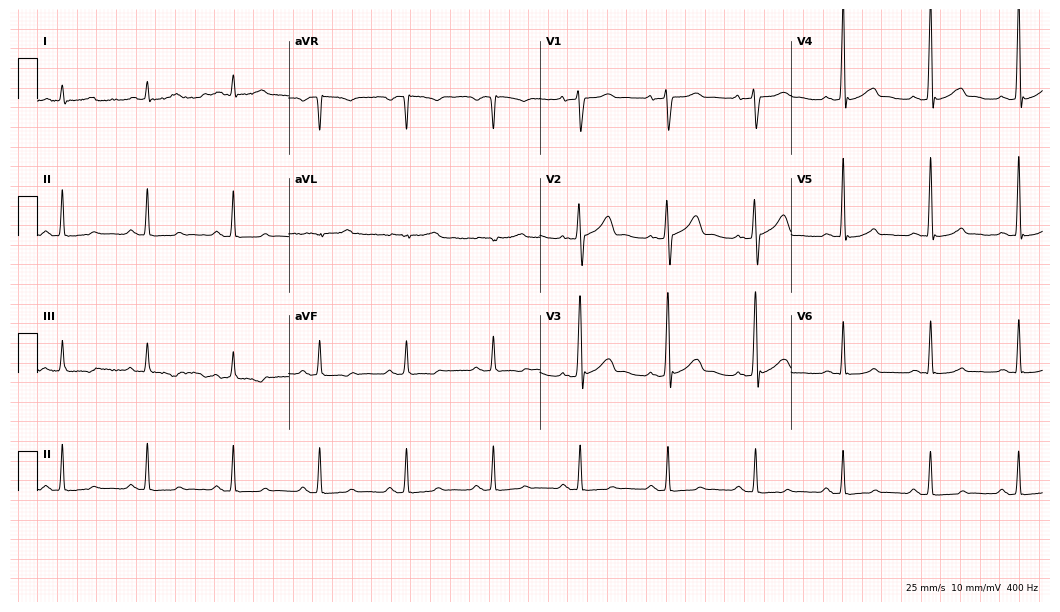
ECG (10.2-second recording at 400 Hz) — a man, 68 years old. Screened for six findings — first-degree AV block, right bundle branch block, left bundle branch block, sinus bradycardia, atrial fibrillation, sinus tachycardia — none is recorded. Other findings, if any, are not listed.